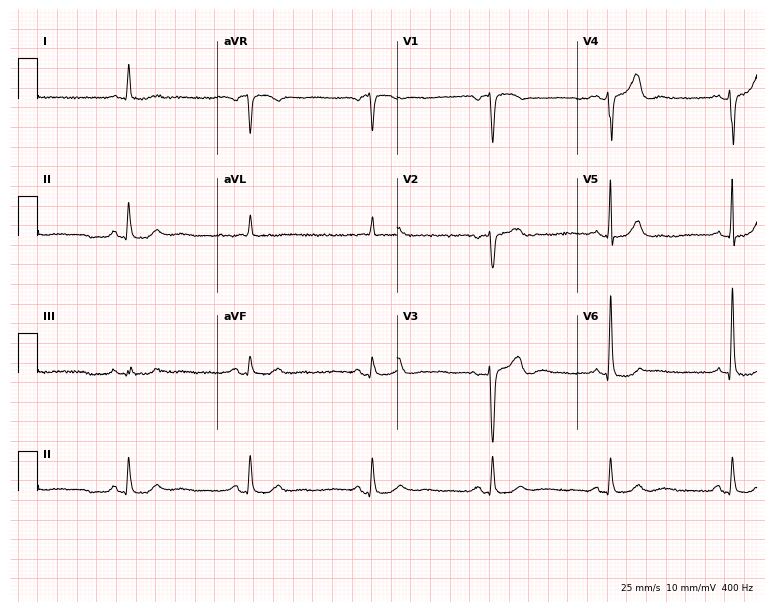
Standard 12-lead ECG recorded from a 75-year-old female patient (7.3-second recording at 400 Hz). The tracing shows sinus bradycardia (a sinus rate of 50 beats per minute or less).